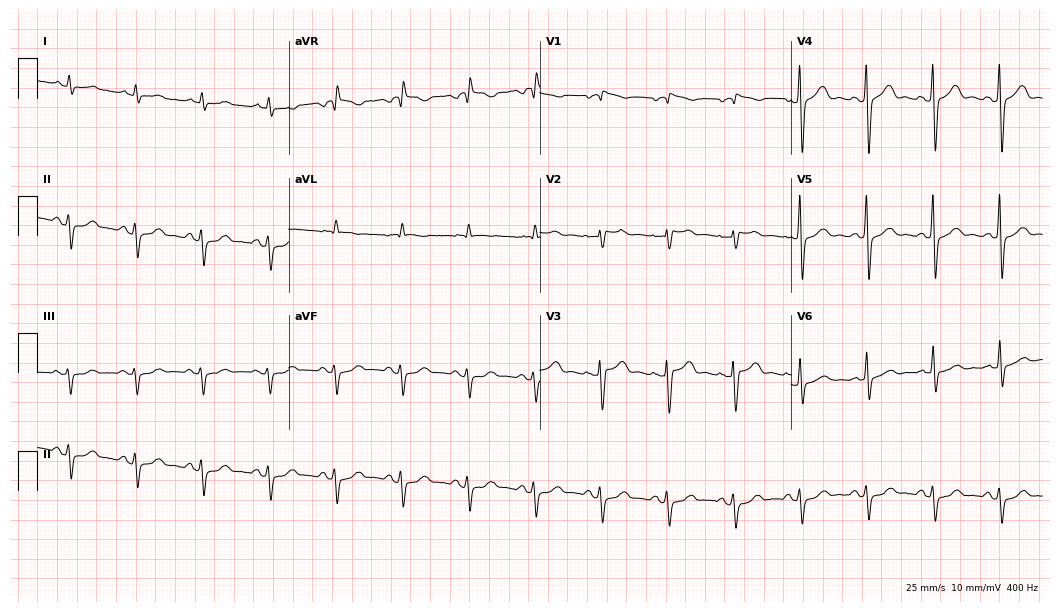
ECG — a 79-year-old man. Screened for six findings — first-degree AV block, right bundle branch block (RBBB), left bundle branch block (LBBB), sinus bradycardia, atrial fibrillation (AF), sinus tachycardia — none is recorded.